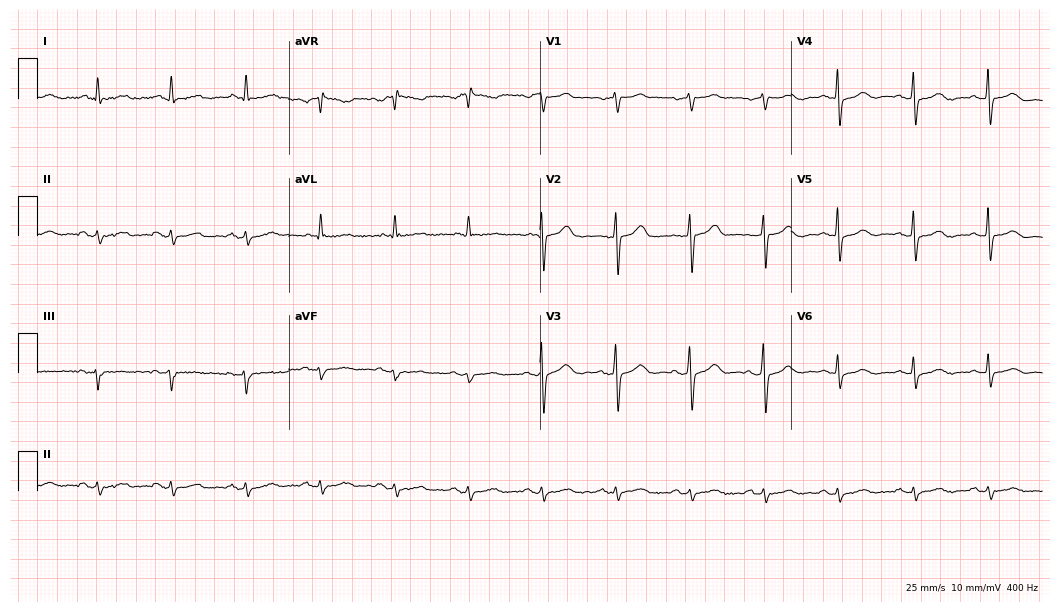
ECG — a male patient, 74 years old. Screened for six findings — first-degree AV block, right bundle branch block (RBBB), left bundle branch block (LBBB), sinus bradycardia, atrial fibrillation (AF), sinus tachycardia — none is recorded.